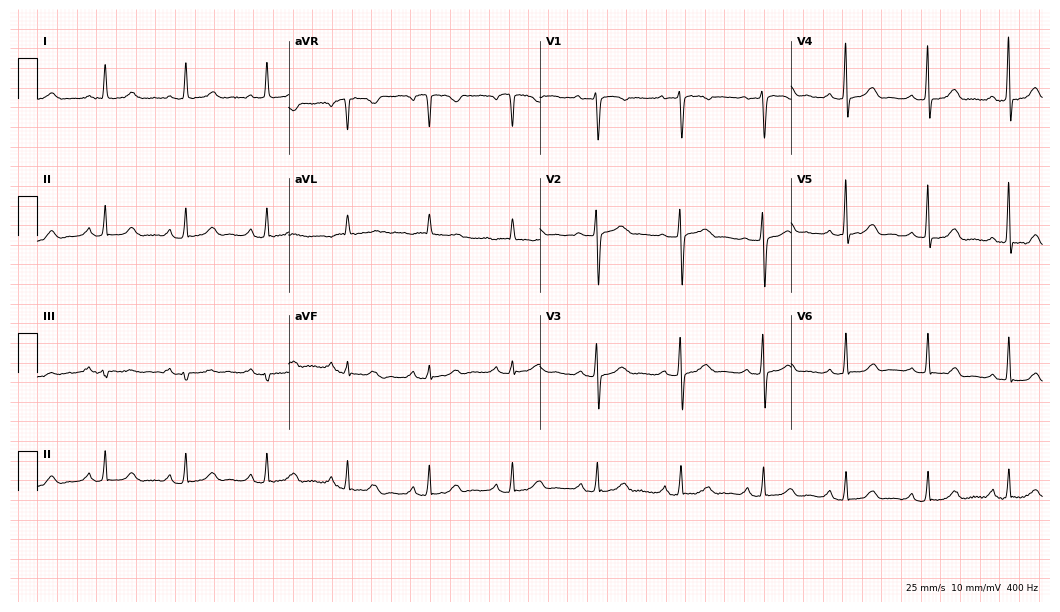
12-lead ECG from an 80-year-old female. Recorded interpretation: within normal limits.